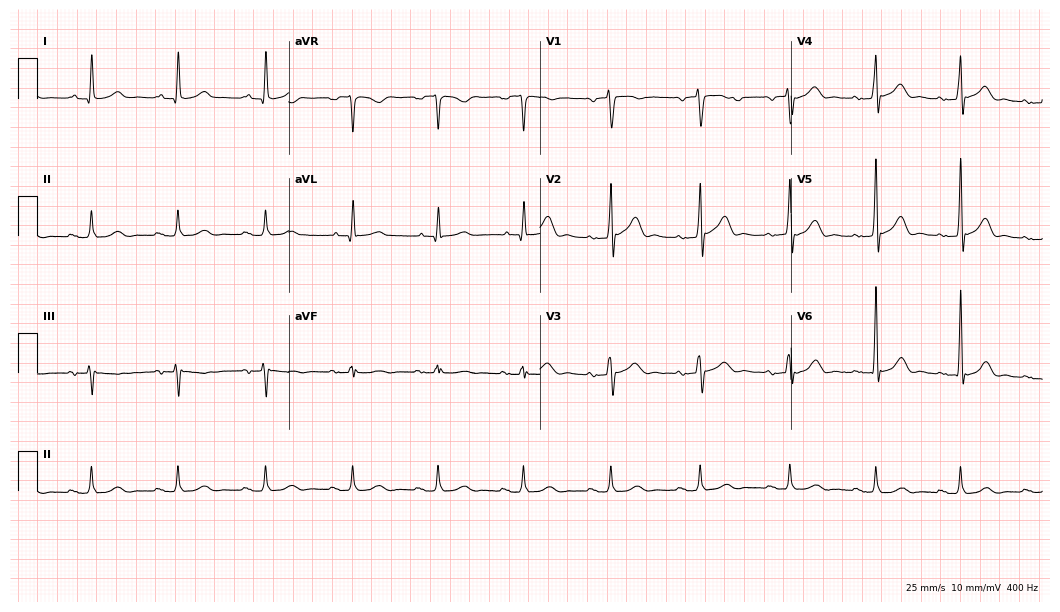
12-lead ECG from a 57-year-old male patient (10.2-second recording at 400 Hz). Recorded interpretation: within normal limits.